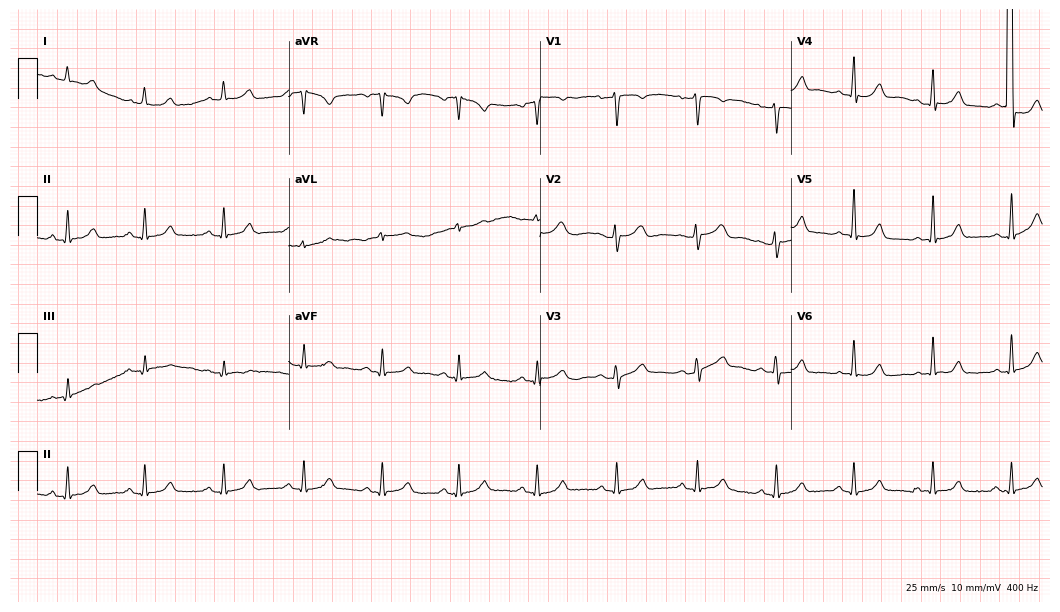
12-lead ECG from a 36-year-old female patient. Screened for six findings — first-degree AV block, right bundle branch block, left bundle branch block, sinus bradycardia, atrial fibrillation, sinus tachycardia — none is recorded.